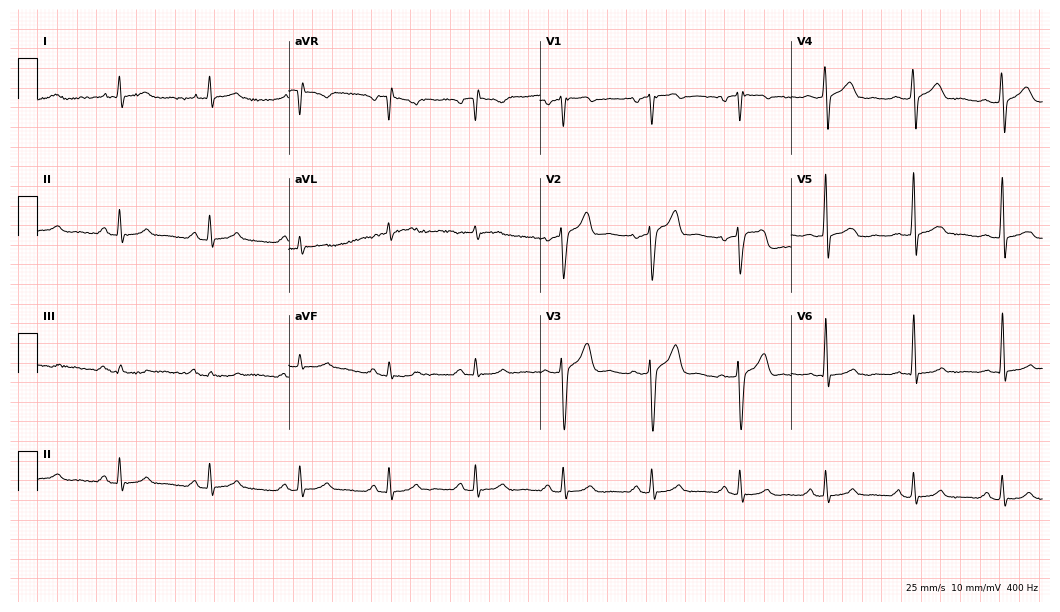
12-lead ECG from a male patient, 42 years old (10.2-second recording at 400 Hz). Recorded interpretation: within normal limits.